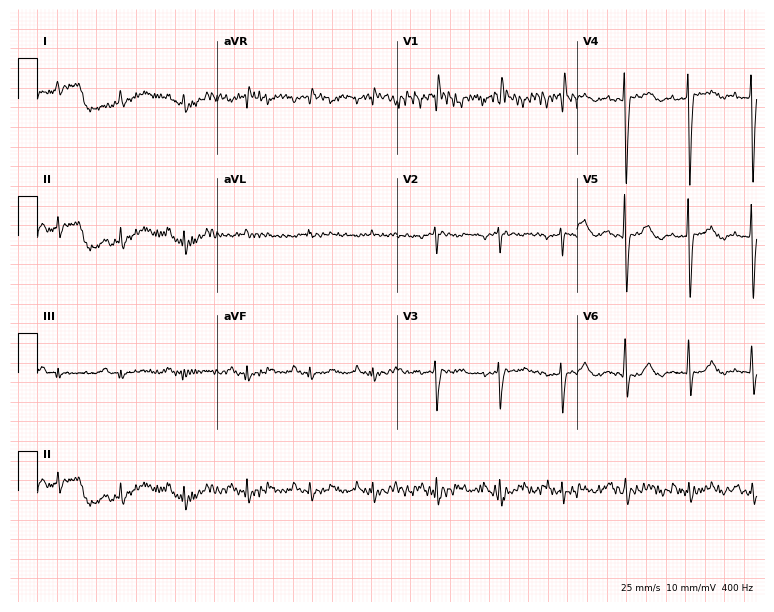
12-lead ECG from a male, 84 years old. No first-degree AV block, right bundle branch block, left bundle branch block, sinus bradycardia, atrial fibrillation or sinus tachycardia recorded for this tracing.